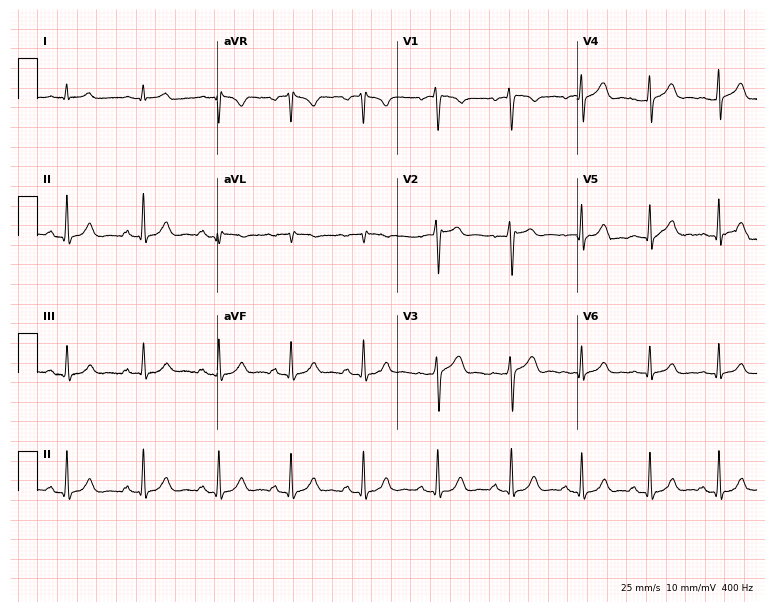
12-lead ECG from a male patient, 38 years old. Screened for six findings — first-degree AV block, right bundle branch block (RBBB), left bundle branch block (LBBB), sinus bradycardia, atrial fibrillation (AF), sinus tachycardia — none is recorded.